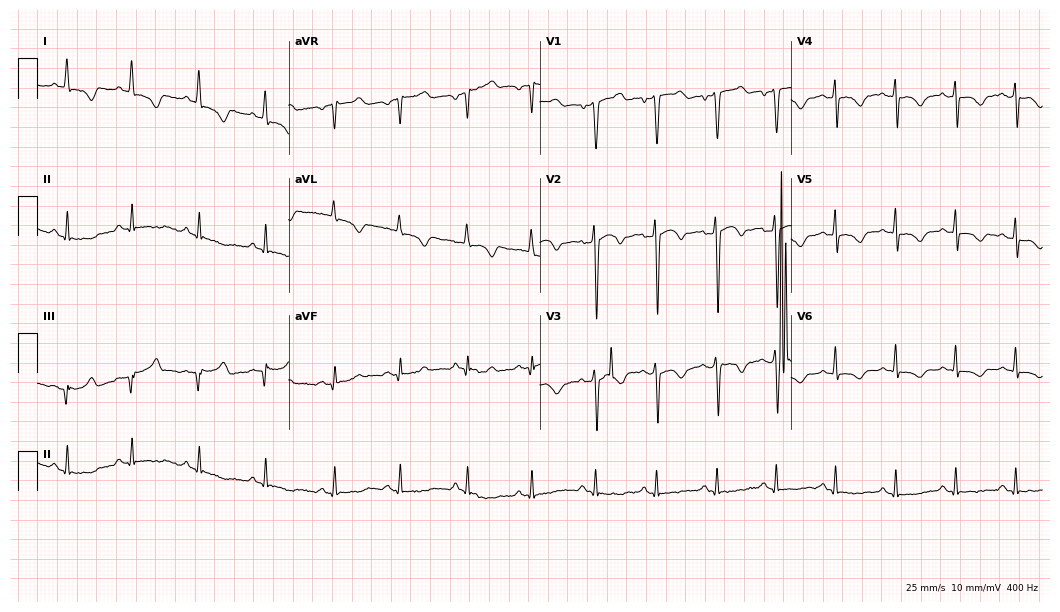
12-lead ECG from a 49-year-old woman. Screened for six findings — first-degree AV block, right bundle branch block, left bundle branch block, sinus bradycardia, atrial fibrillation, sinus tachycardia — none is recorded.